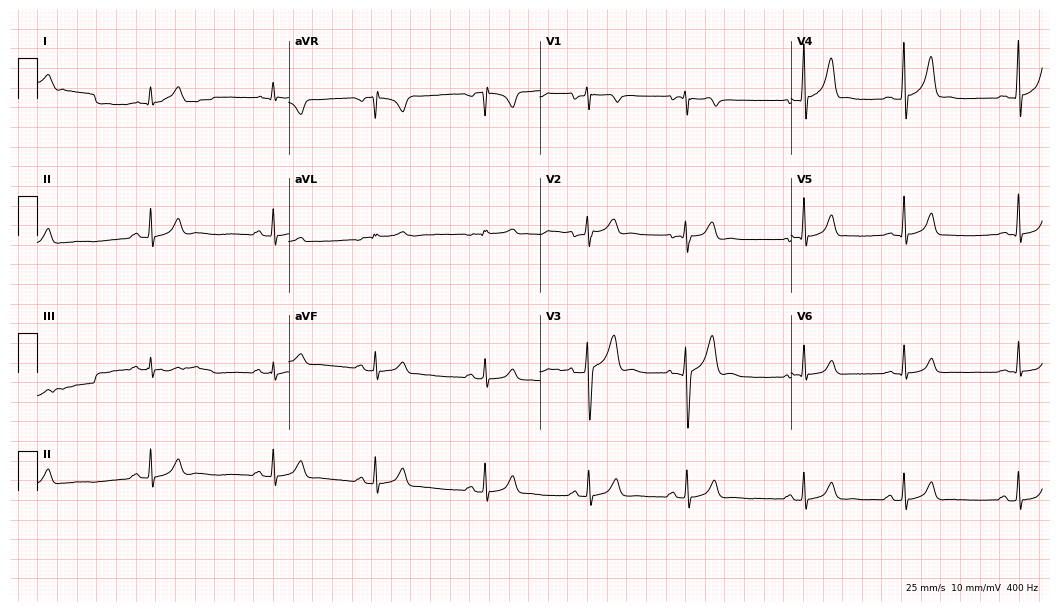
Electrocardiogram (10.2-second recording at 400 Hz), a 22-year-old man. Overall reading on record: normal ECG.